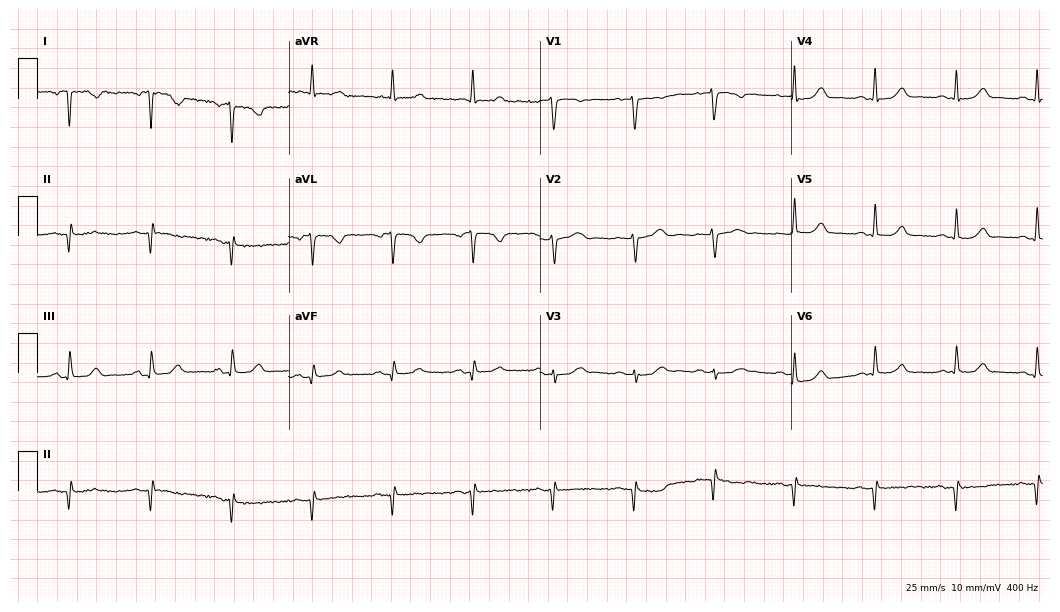
Resting 12-lead electrocardiogram (10.2-second recording at 400 Hz). Patient: a female, 67 years old. None of these six findings is recorded: first-degree AV block, right bundle branch block, left bundle branch block, sinus bradycardia, atrial fibrillation, sinus tachycardia.